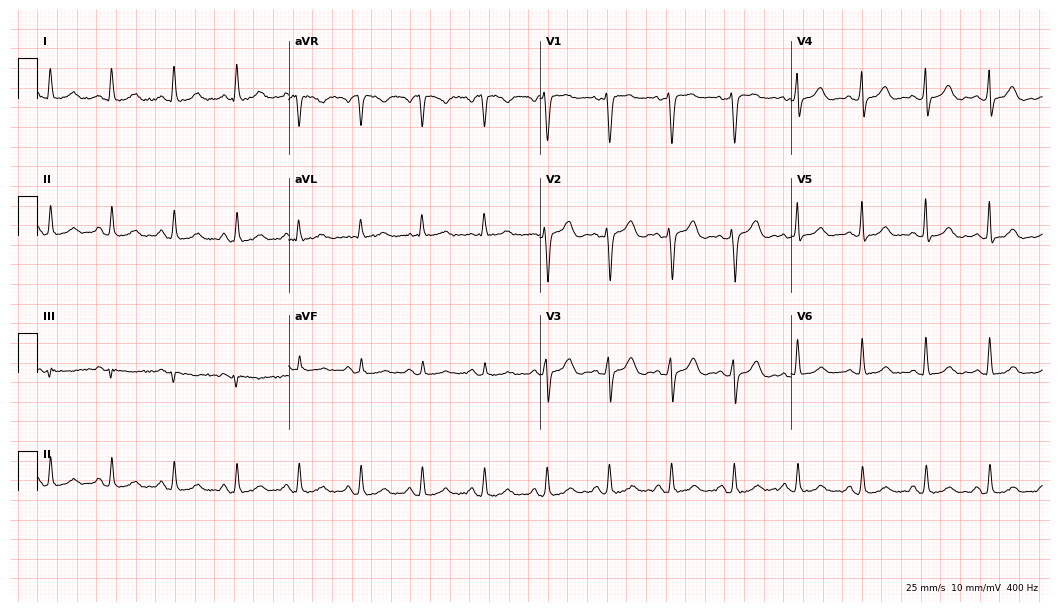
Standard 12-lead ECG recorded from a 44-year-old female. Read as a normal ECG.